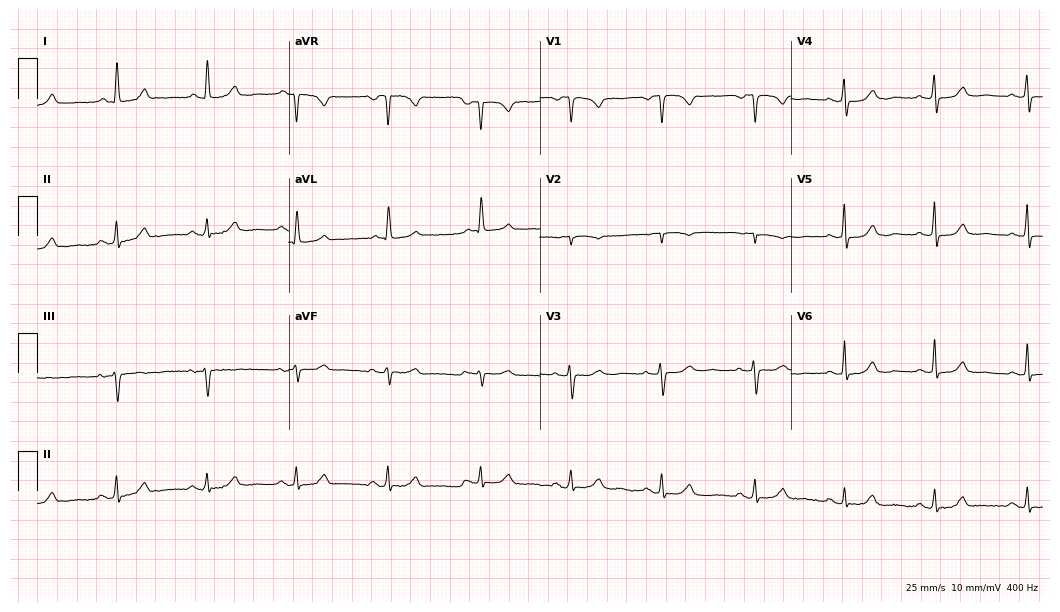
12-lead ECG (10.2-second recording at 400 Hz) from a 61-year-old woman. Screened for six findings — first-degree AV block, right bundle branch block, left bundle branch block, sinus bradycardia, atrial fibrillation, sinus tachycardia — none is recorded. Other findings, if any, are not listed.